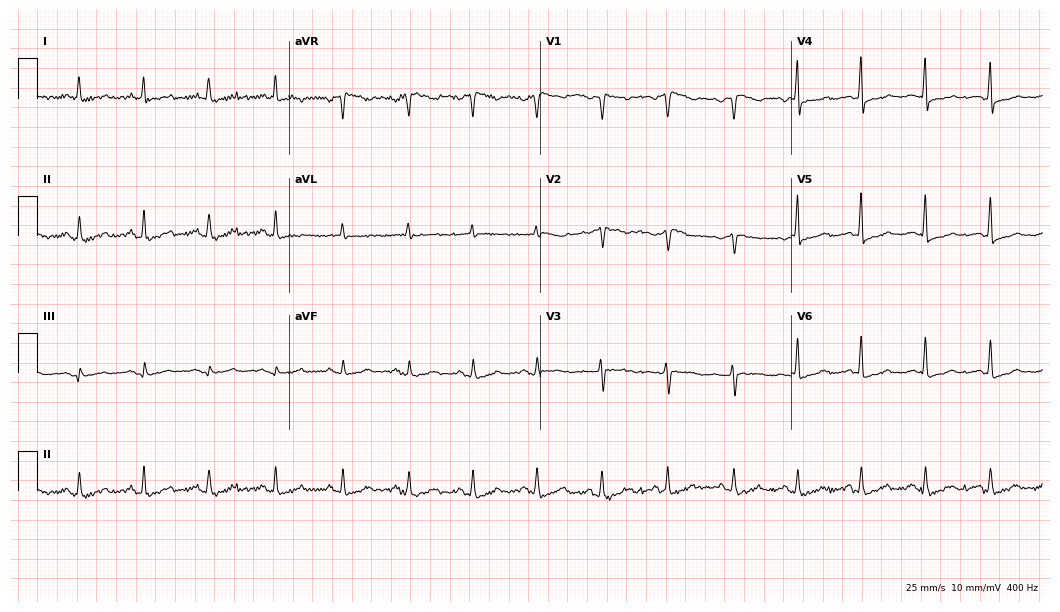
12-lead ECG from a woman, 50 years old. No first-degree AV block, right bundle branch block (RBBB), left bundle branch block (LBBB), sinus bradycardia, atrial fibrillation (AF) or sinus tachycardia recorded for this tracing. Other findings, if any, are not listed.